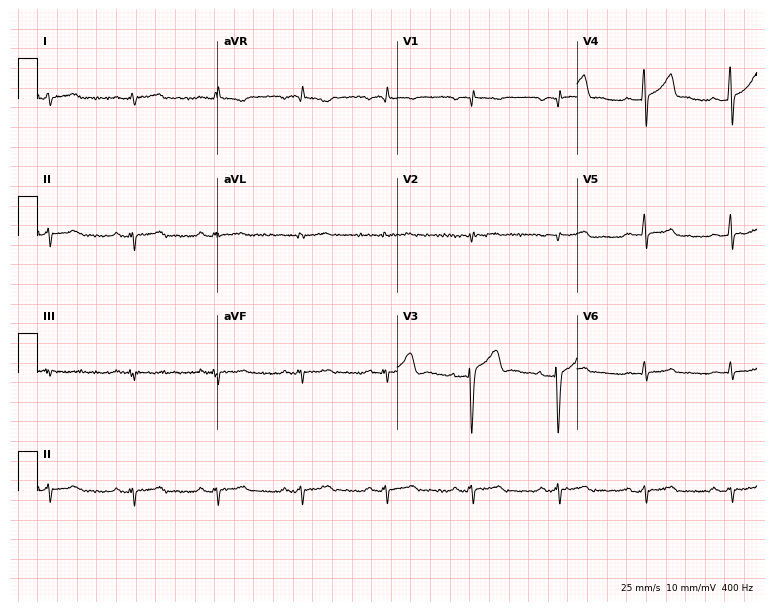
Standard 12-lead ECG recorded from a 31-year-old male patient. None of these six findings is recorded: first-degree AV block, right bundle branch block, left bundle branch block, sinus bradycardia, atrial fibrillation, sinus tachycardia. Findings outside these six are not listed.